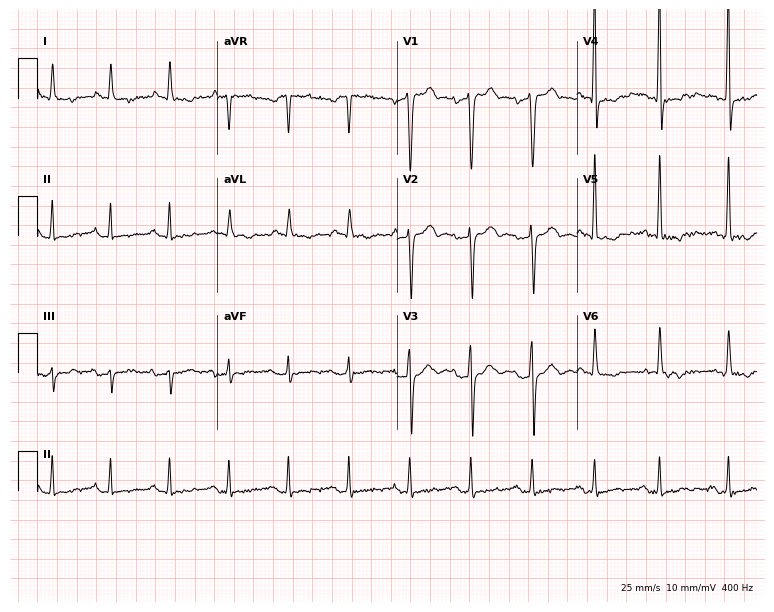
Electrocardiogram (7.3-second recording at 400 Hz), a 48-year-old male. Of the six screened findings (first-degree AV block, right bundle branch block, left bundle branch block, sinus bradycardia, atrial fibrillation, sinus tachycardia), none is recorded.